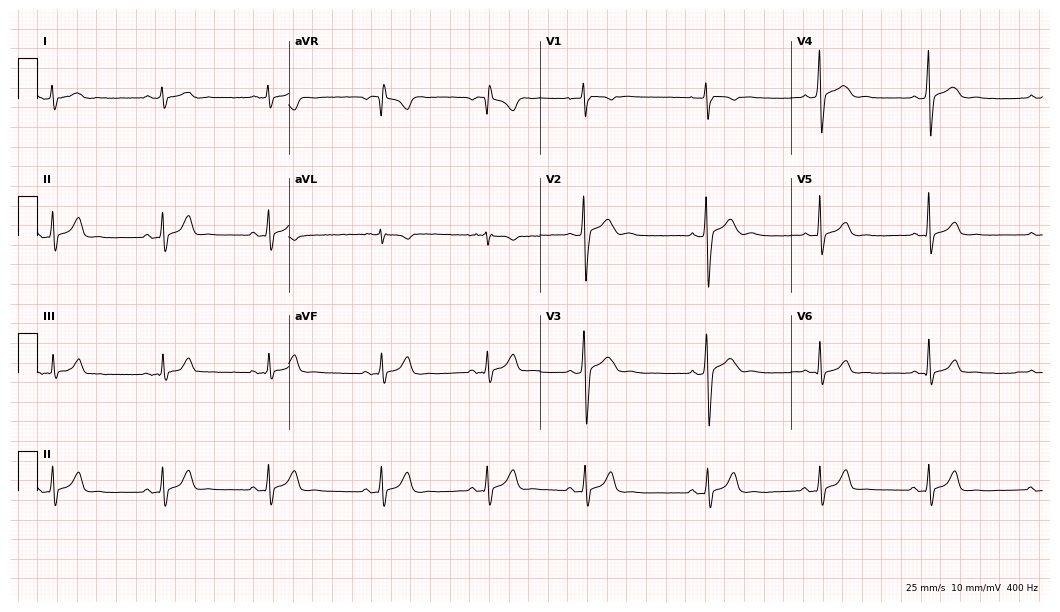
Electrocardiogram (10.2-second recording at 400 Hz), a 23-year-old male. Overall reading on record: normal ECG.